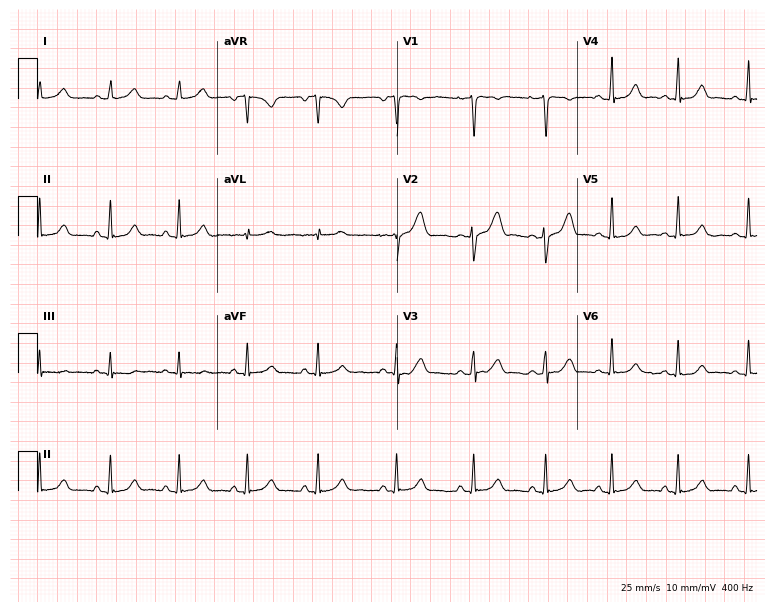
ECG — a 28-year-old female. Screened for six findings — first-degree AV block, right bundle branch block (RBBB), left bundle branch block (LBBB), sinus bradycardia, atrial fibrillation (AF), sinus tachycardia — none is recorded.